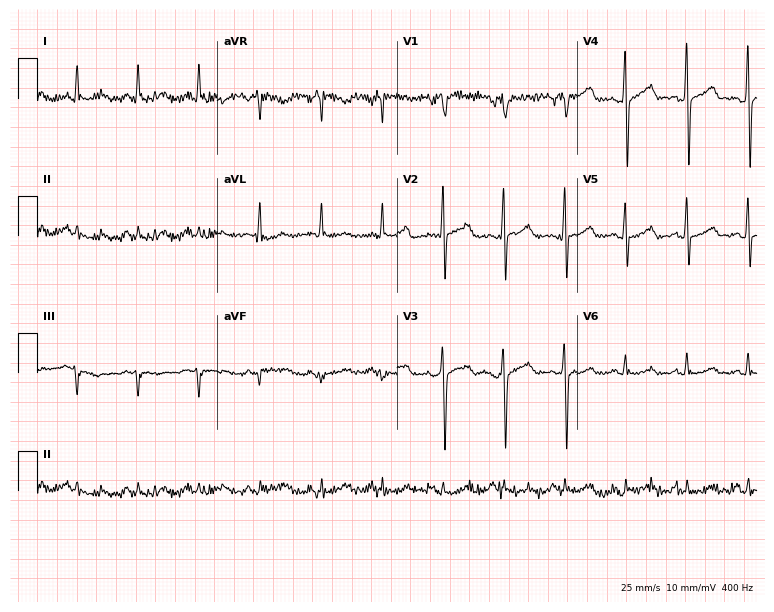
Electrocardiogram, a 62-year-old male patient. Of the six screened findings (first-degree AV block, right bundle branch block (RBBB), left bundle branch block (LBBB), sinus bradycardia, atrial fibrillation (AF), sinus tachycardia), none is recorded.